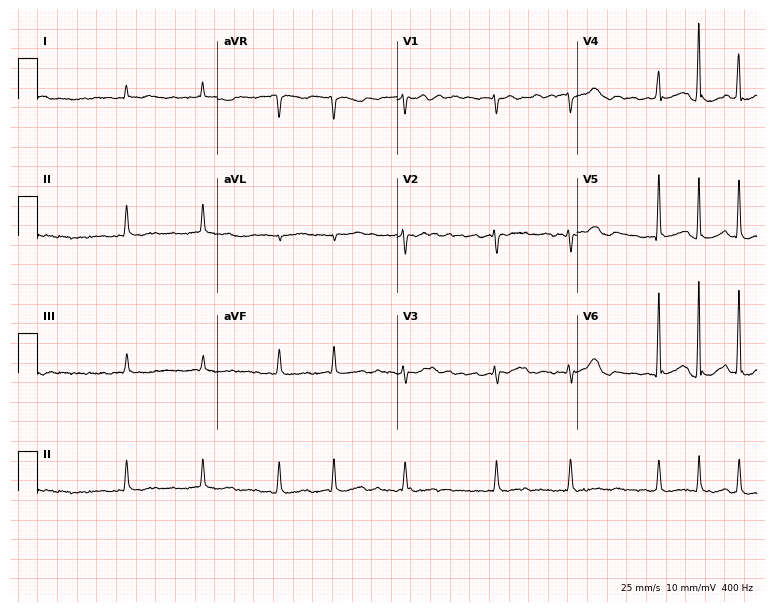
12-lead ECG from a 65-year-old female. Findings include atrial fibrillation.